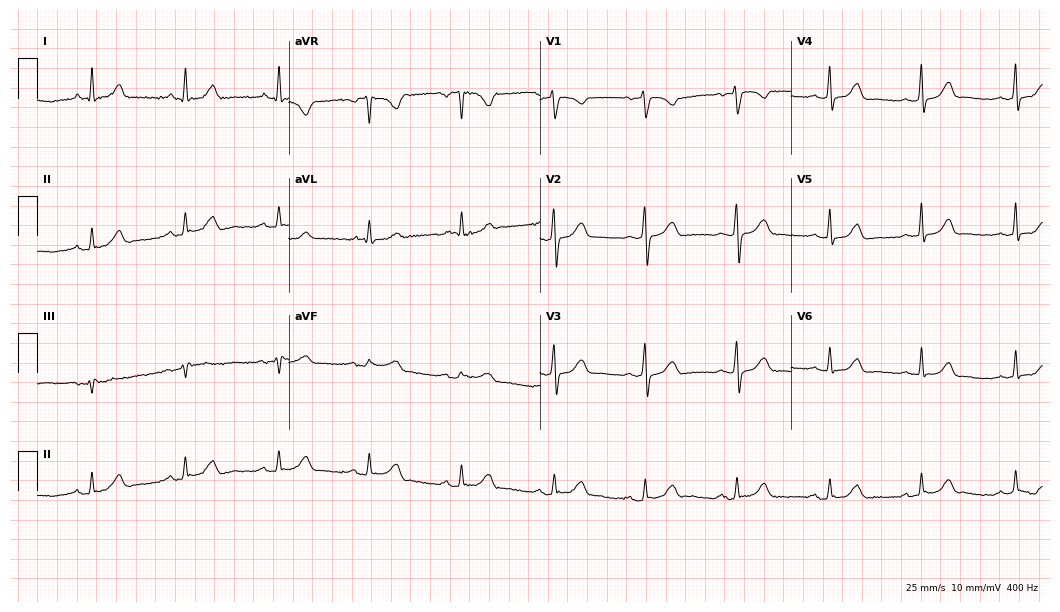
12-lead ECG from a female, 63 years old (10.2-second recording at 400 Hz). No first-degree AV block, right bundle branch block (RBBB), left bundle branch block (LBBB), sinus bradycardia, atrial fibrillation (AF) or sinus tachycardia recorded for this tracing. Only these six findings were labelled.